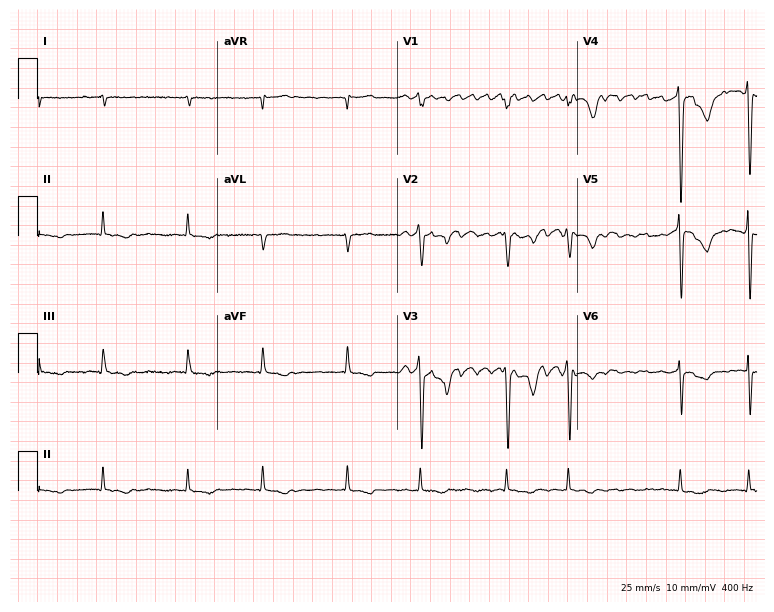
Standard 12-lead ECG recorded from a 73-year-old male. The tracing shows atrial fibrillation.